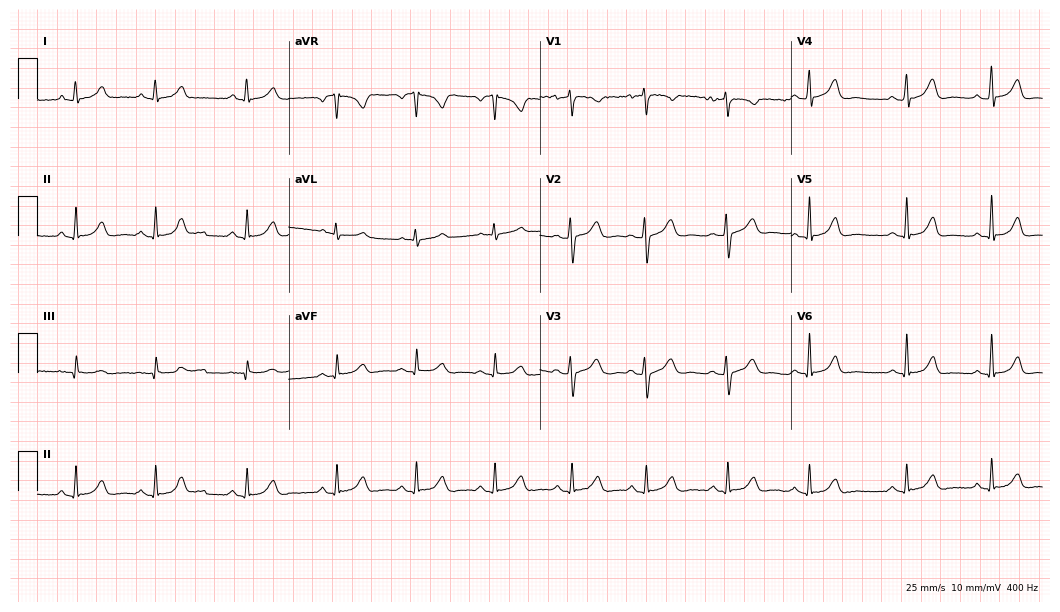
Electrocardiogram, a 26-year-old woman. Overall reading on record: normal ECG.